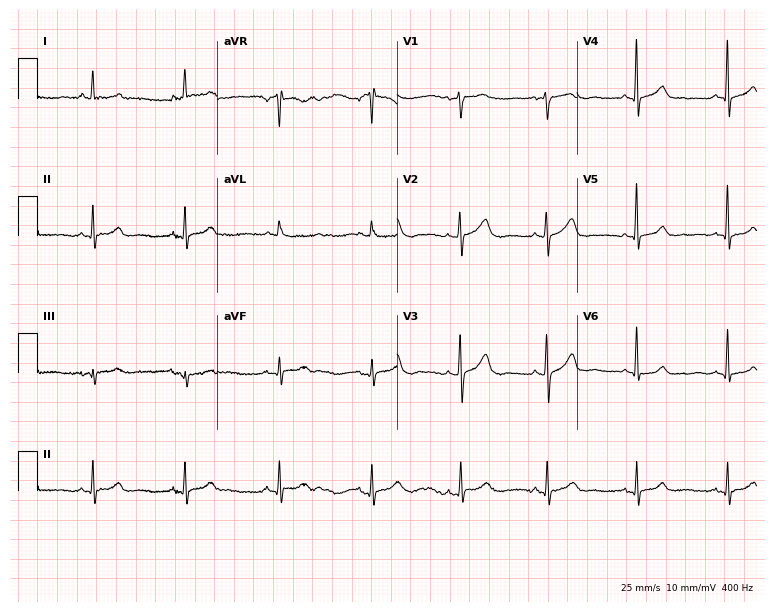
12-lead ECG (7.3-second recording at 400 Hz) from a 58-year-old female. Labelled as a normal ECG.